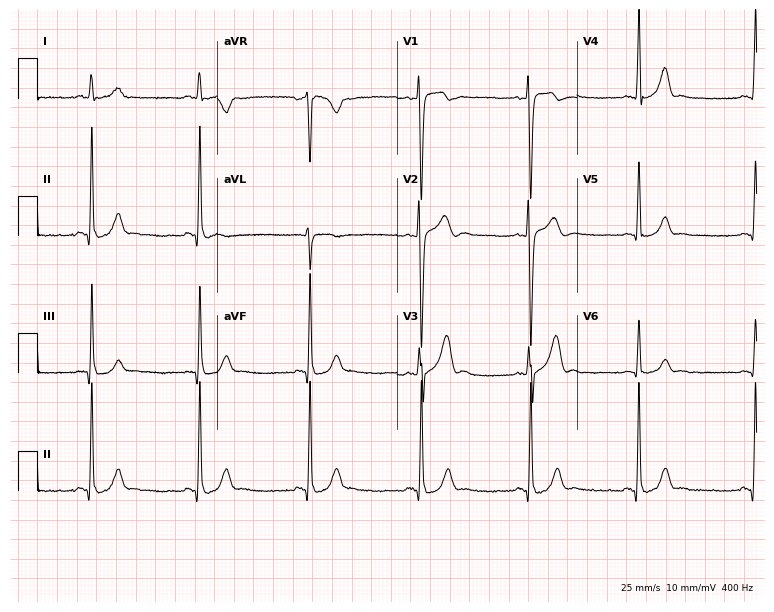
Resting 12-lead electrocardiogram. Patient: a male, 24 years old. None of these six findings is recorded: first-degree AV block, right bundle branch block, left bundle branch block, sinus bradycardia, atrial fibrillation, sinus tachycardia. Only these six findings were labelled.